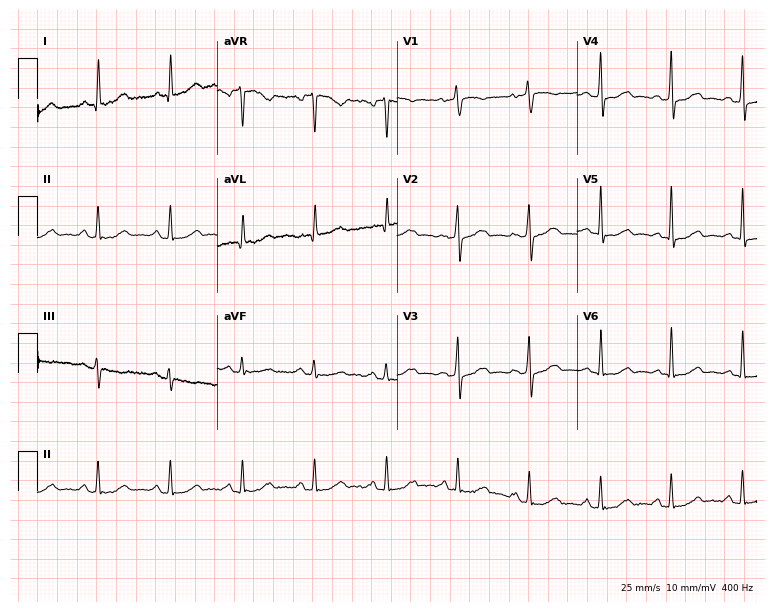
ECG (7.3-second recording at 400 Hz) — a 54-year-old female. Screened for six findings — first-degree AV block, right bundle branch block, left bundle branch block, sinus bradycardia, atrial fibrillation, sinus tachycardia — none is recorded.